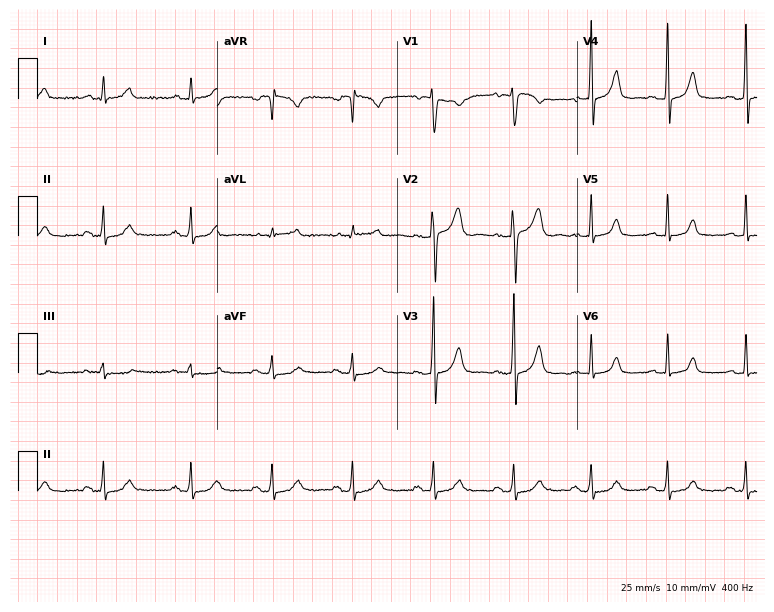
Resting 12-lead electrocardiogram. Patient: a 51-year-old female. None of these six findings is recorded: first-degree AV block, right bundle branch block, left bundle branch block, sinus bradycardia, atrial fibrillation, sinus tachycardia. Only these six findings were labelled.